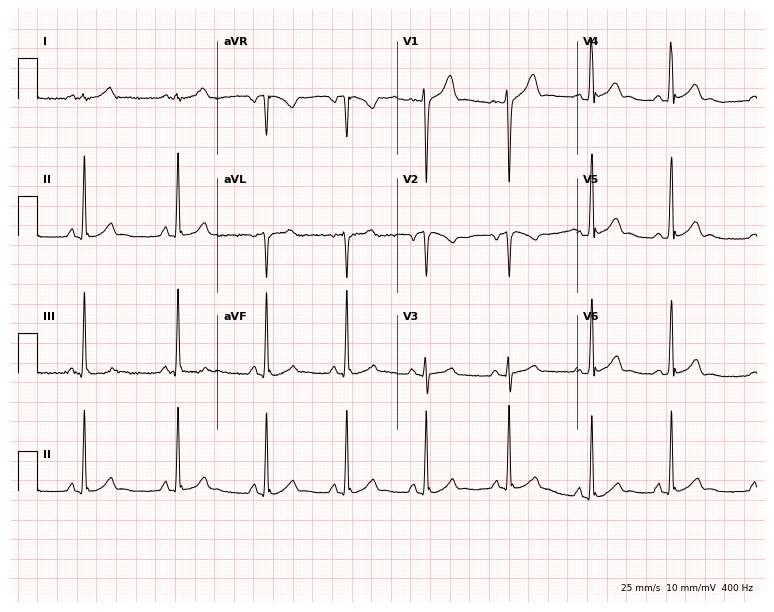
ECG (7.3-second recording at 400 Hz) — a 21-year-old man. Labelled as a normal ECG.